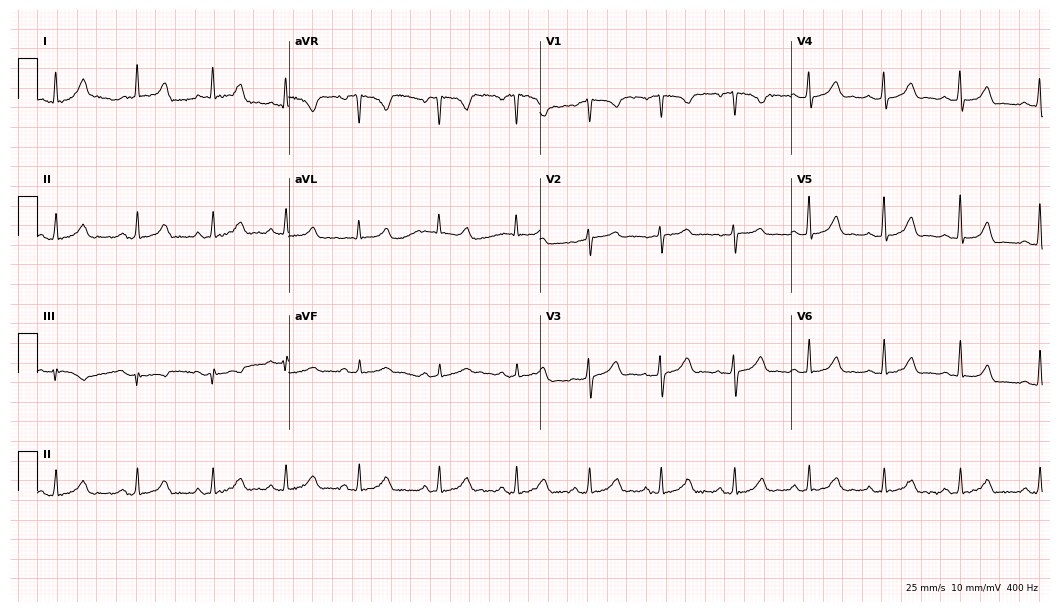
ECG — a 38-year-old female. Screened for six findings — first-degree AV block, right bundle branch block (RBBB), left bundle branch block (LBBB), sinus bradycardia, atrial fibrillation (AF), sinus tachycardia — none is recorded. Only these six findings were labelled.